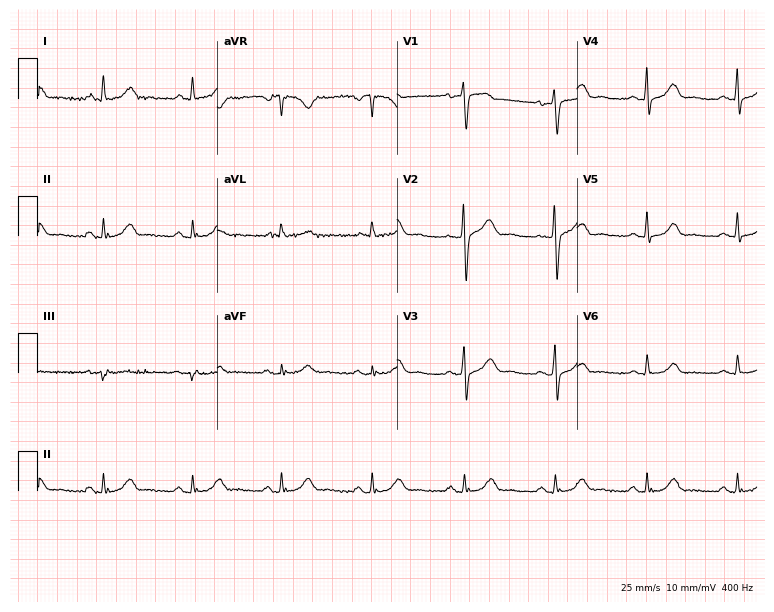
Standard 12-lead ECG recorded from a 55-year-old woman (7.3-second recording at 400 Hz). Read as a normal ECG.